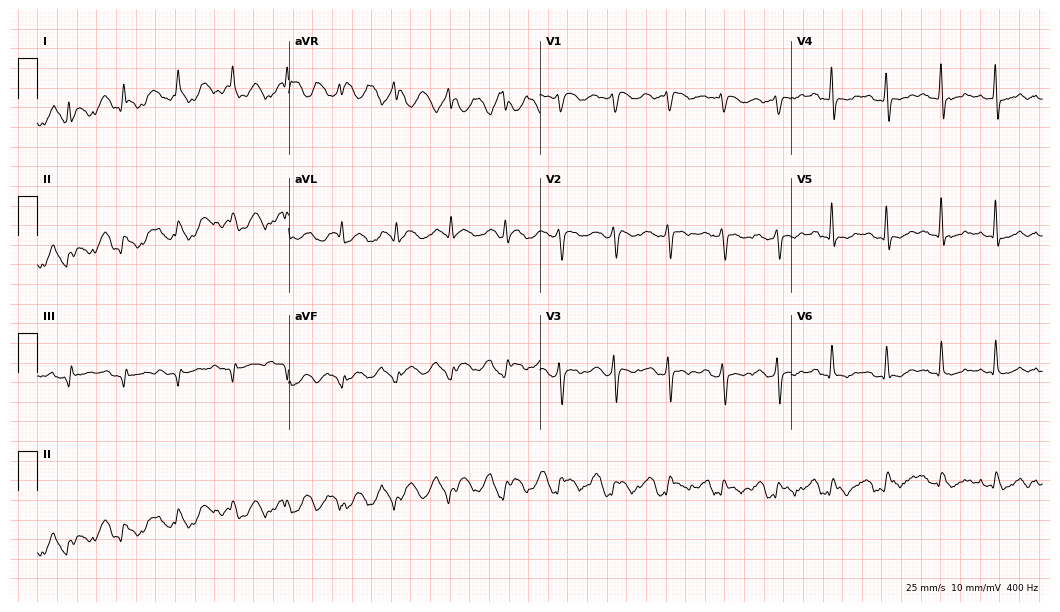
Resting 12-lead electrocardiogram (10.2-second recording at 400 Hz). Patient: a 74-year-old male. None of these six findings is recorded: first-degree AV block, right bundle branch block (RBBB), left bundle branch block (LBBB), sinus bradycardia, atrial fibrillation (AF), sinus tachycardia. Other findings, if any, are not listed.